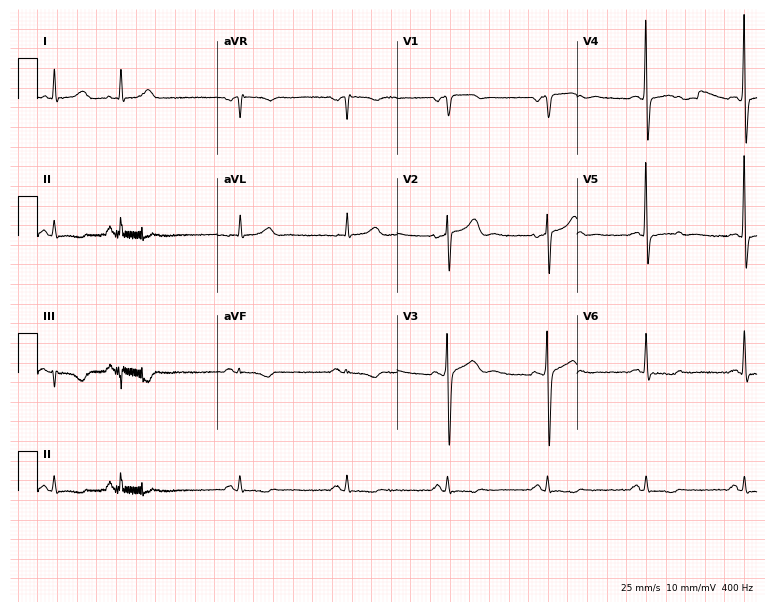
ECG (7.3-second recording at 400 Hz) — a 75-year-old male. Screened for six findings — first-degree AV block, right bundle branch block, left bundle branch block, sinus bradycardia, atrial fibrillation, sinus tachycardia — none is recorded. Findings outside these six are not listed.